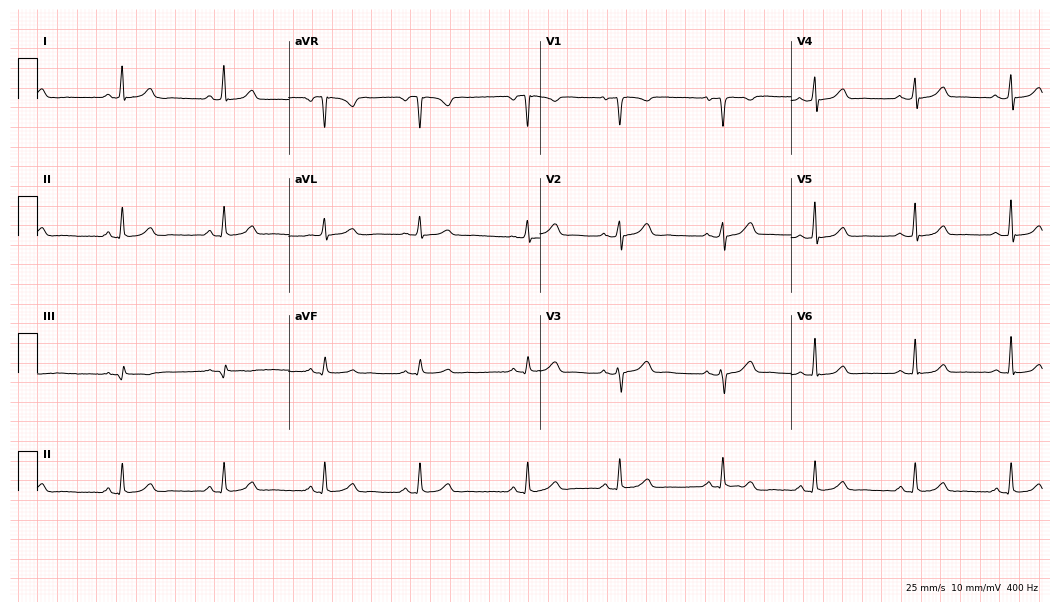
Standard 12-lead ECG recorded from a female patient, 32 years old (10.2-second recording at 400 Hz). Read as a normal ECG.